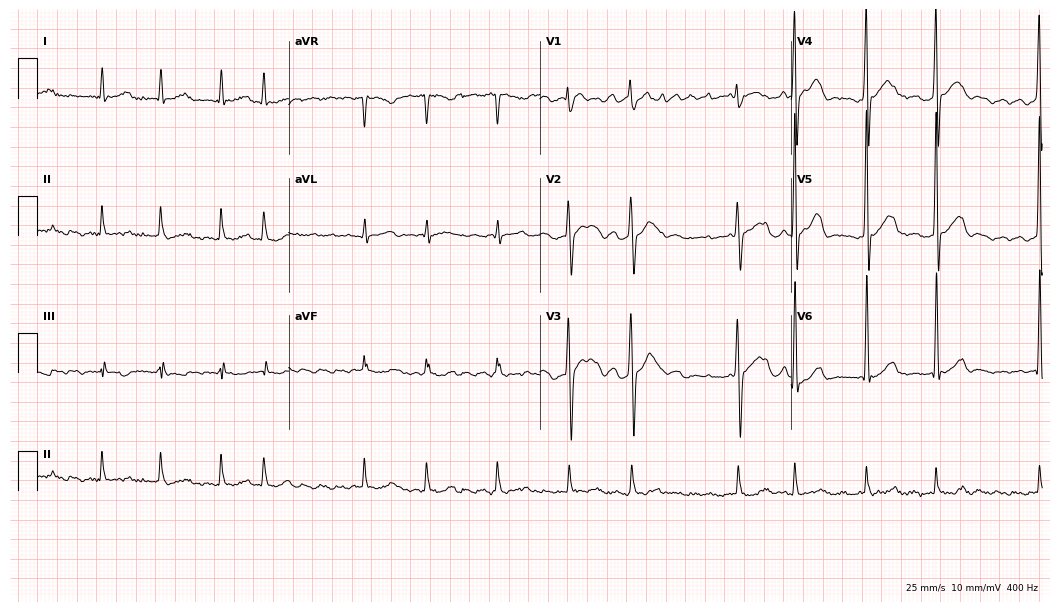
Resting 12-lead electrocardiogram. Patient: an 81-year-old man. The tracing shows atrial fibrillation (AF).